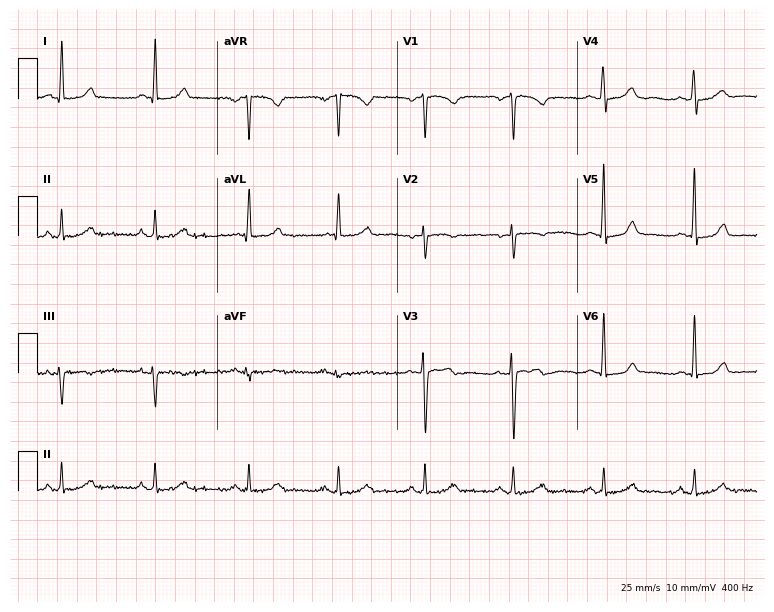
Electrocardiogram (7.3-second recording at 400 Hz), a 43-year-old female patient. Overall reading on record: normal ECG.